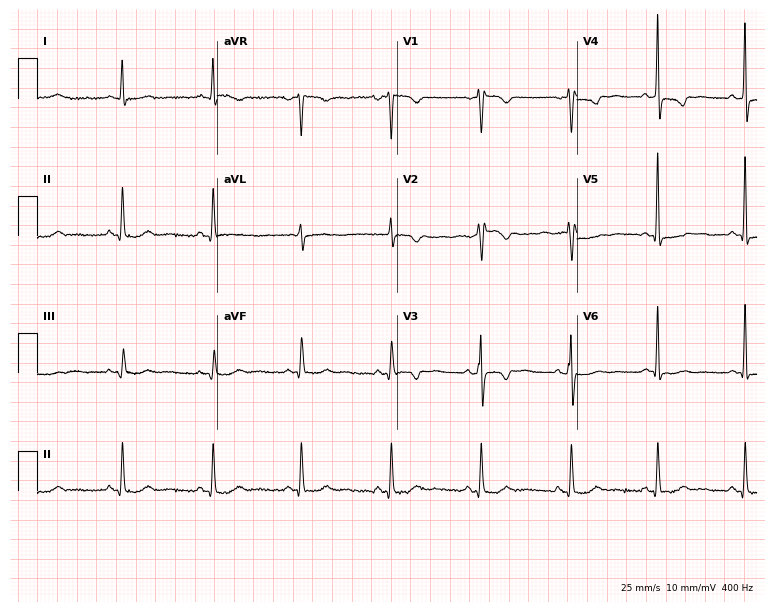
Standard 12-lead ECG recorded from a male, 47 years old. None of these six findings is recorded: first-degree AV block, right bundle branch block (RBBB), left bundle branch block (LBBB), sinus bradycardia, atrial fibrillation (AF), sinus tachycardia. Only these six findings were labelled.